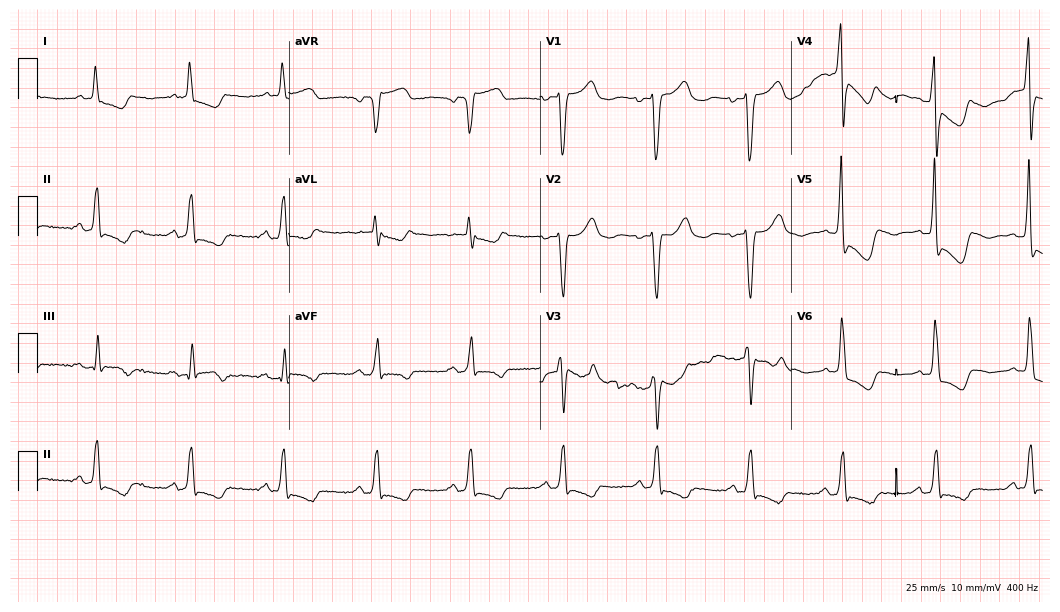
Standard 12-lead ECG recorded from an 82-year-old female (10.2-second recording at 400 Hz). None of these six findings is recorded: first-degree AV block, right bundle branch block (RBBB), left bundle branch block (LBBB), sinus bradycardia, atrial fibrillation (AF), sinus tachycardia.